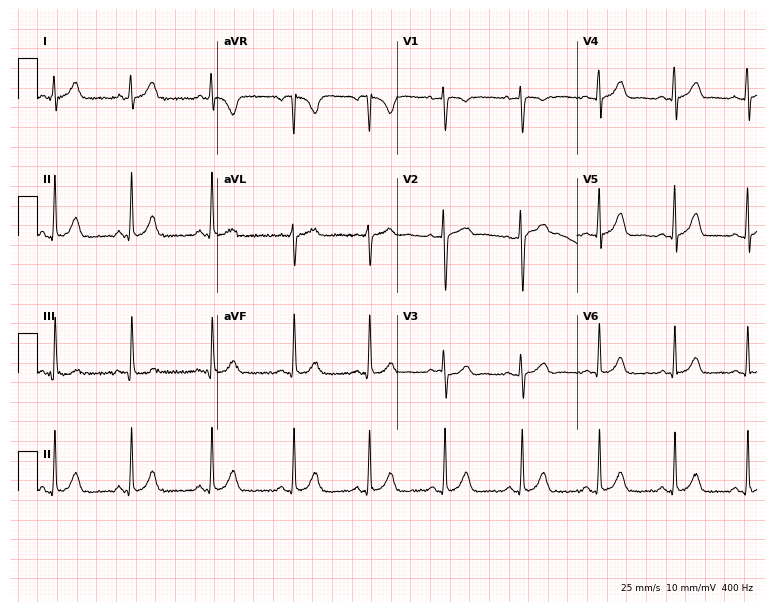
ECG (7.3-second recording at 400 Hz) — a woman, 27 years old. Labelled as a normal ECG.